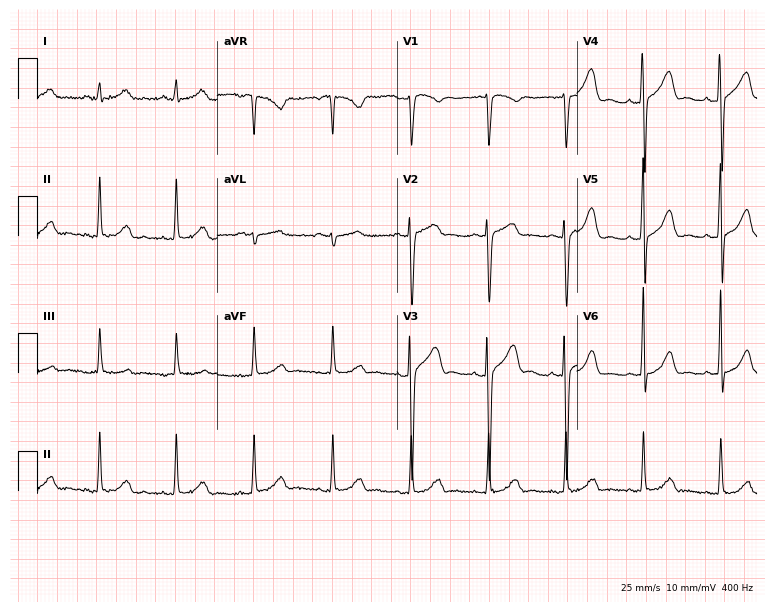
Resting 12-lead electrocardiogram (7.3-second recording at 400 Hz). Patient: a 53-year-old man. Read as a normal ECG.